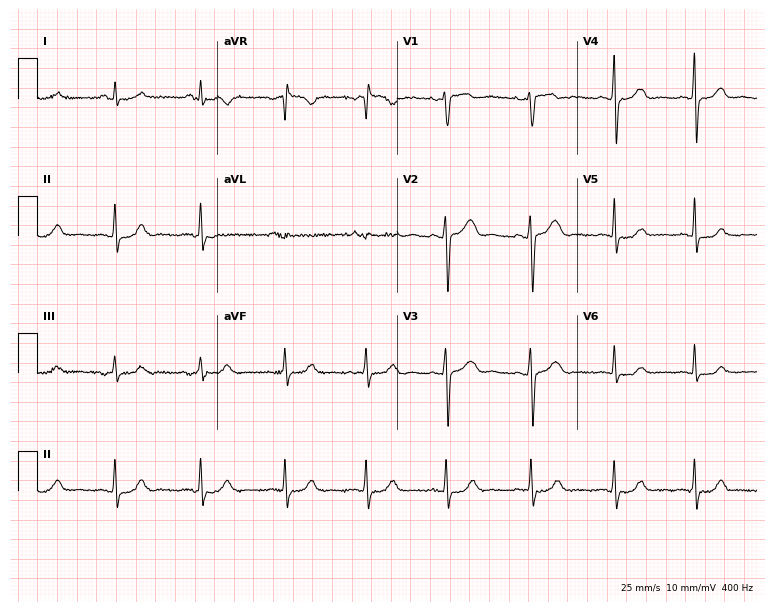
Standard 12-lead ECG recorded from a woman, 39 years old. None of these six findings is recorded: first-degree AV block, right bundle branch block, left bundle branch block, sinus bradycardia, atrial fibrillation, sinus tachycardia. Findings outside these six are not listed.